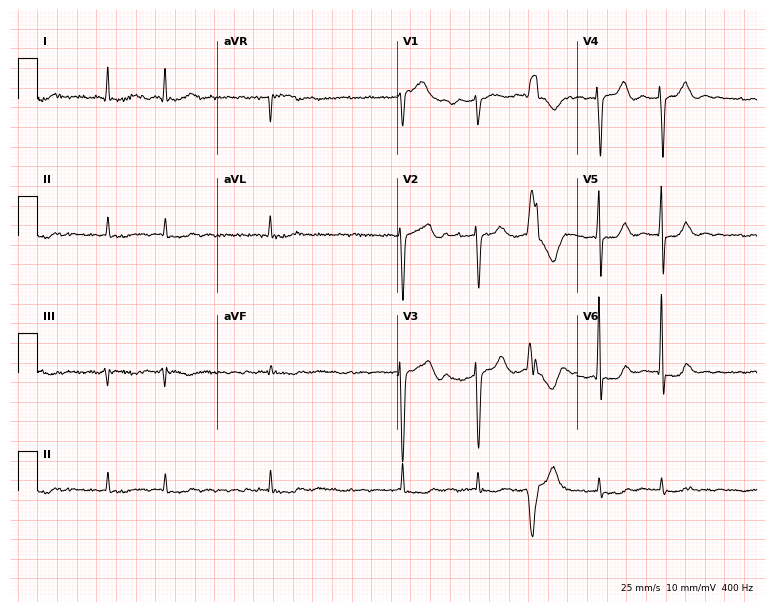
Electrocardiogram (7.3-second recording at 400 Hz), a man, 78 years old. Interpretation includes atrial fibrillation.